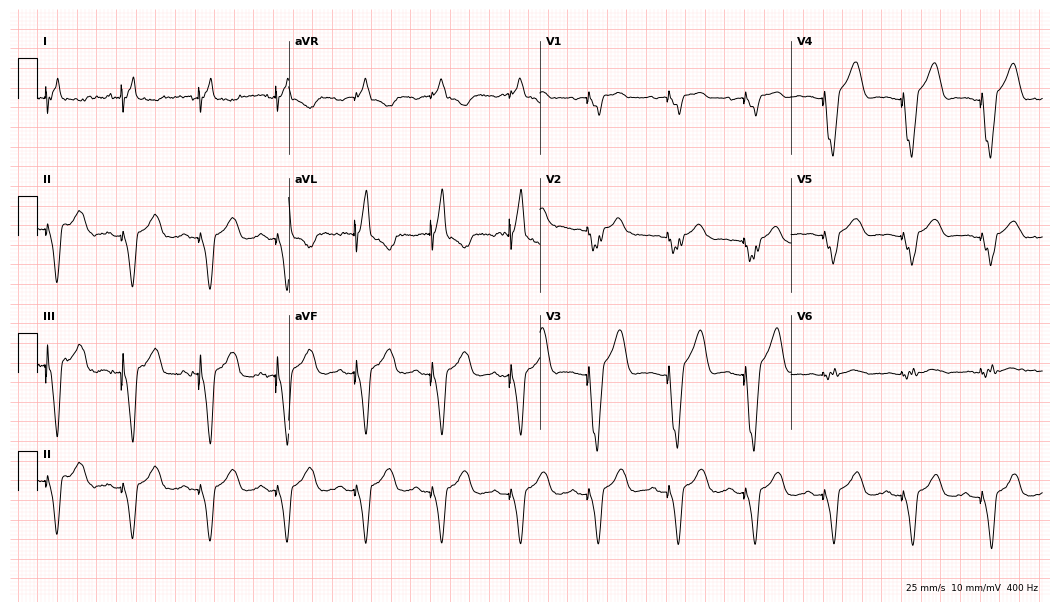
Resting 12-lead electrocardiogram. Patient: an 83-year-old female. None of these six findings is recorded: first-degree AV block, right bundle branch block, left bundle branch block, sinus bradycardia, atrial fibrillation, sinus tachycardia. Findings outside these six are not listed.